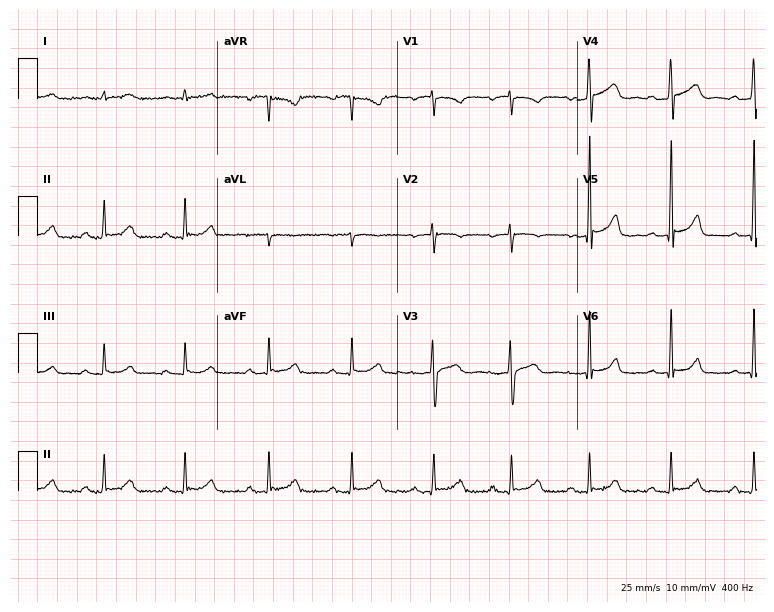
12-lead ECG from a woman, 41 years old (7.3-second recording at 400 Hz). Recorded interpretation: within normal limits.